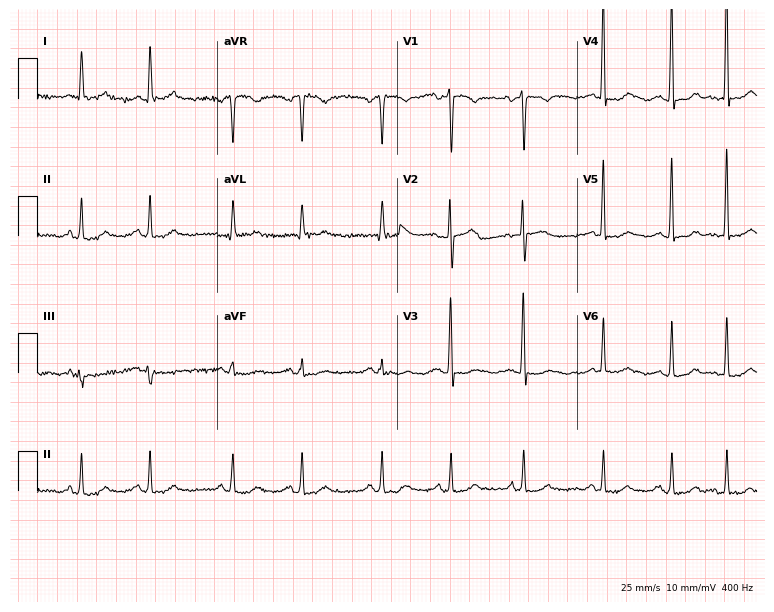
12-lead ECG from a 67-year-old female patient (7.3-second recording at 400 Hz). No first-degree AV block, right bundle branch block, left bundle branch block, sinus bradycardia, atrial fibrillation or sinus tachycardia recorded for this tracing. Other findings, if any, are not listed.